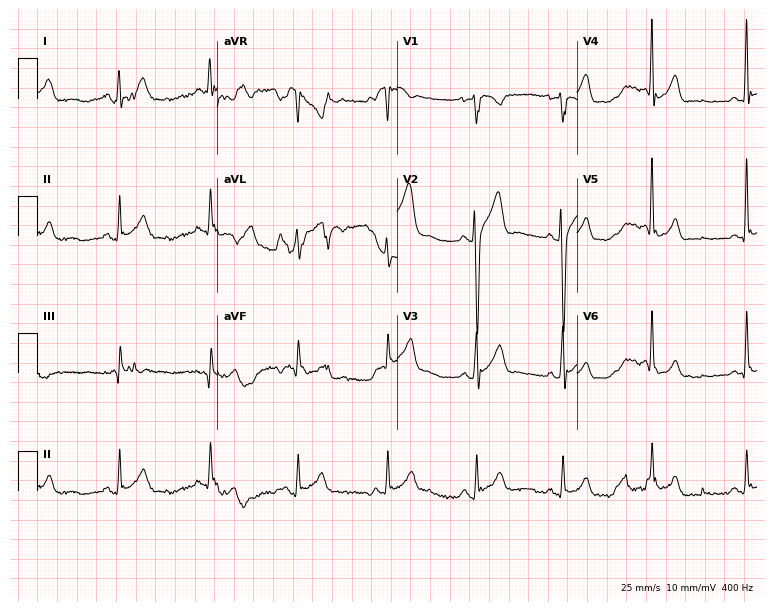
Resting 12-lead electrocardiogram (7.3-second recording at 400 Hz). Patient: a 27-year-old man. Read as a normal ECG.